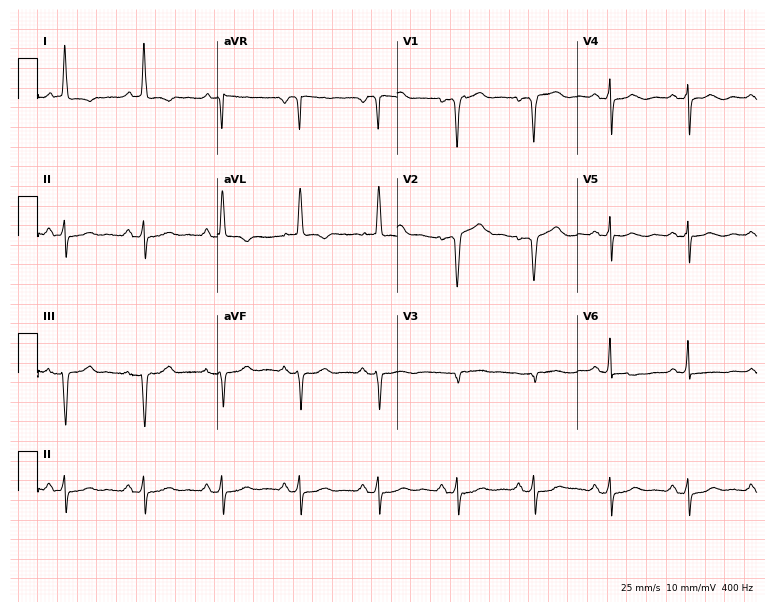
Electrocardiogram, a 67-year-old woman. Of the six screened findings (first-degree AV block, right bundle branch block (RBBB), left bundle branch block (LBBB), sinus bradycardia, atrial fibrillation (AF), sinus tachycardia), none is recorded. Only these six findings were labelled.